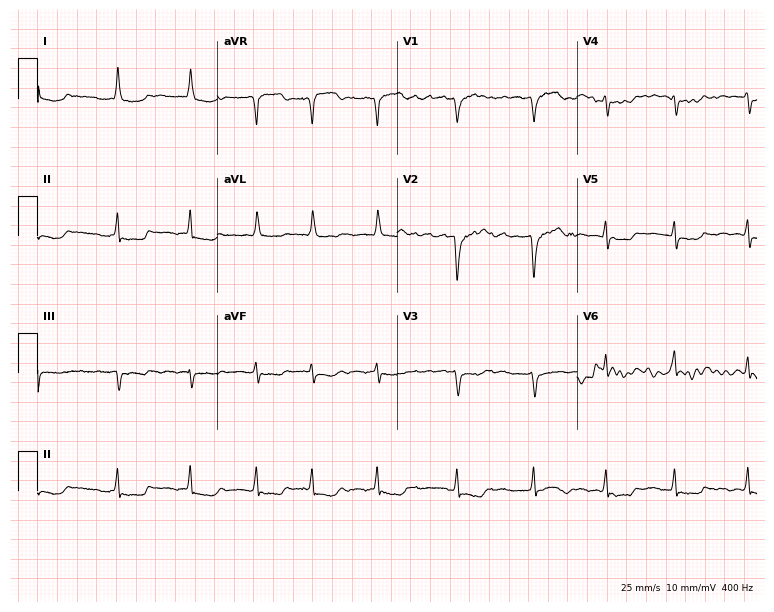
Standard 12-lead ECG recorded from a woman, 78 years old. None of these six findings is recorded: first-degree AV block, right bundle branch block, left bundle branch block, sinus bradycardia, atrial fibrillation, sinus tachycardia.